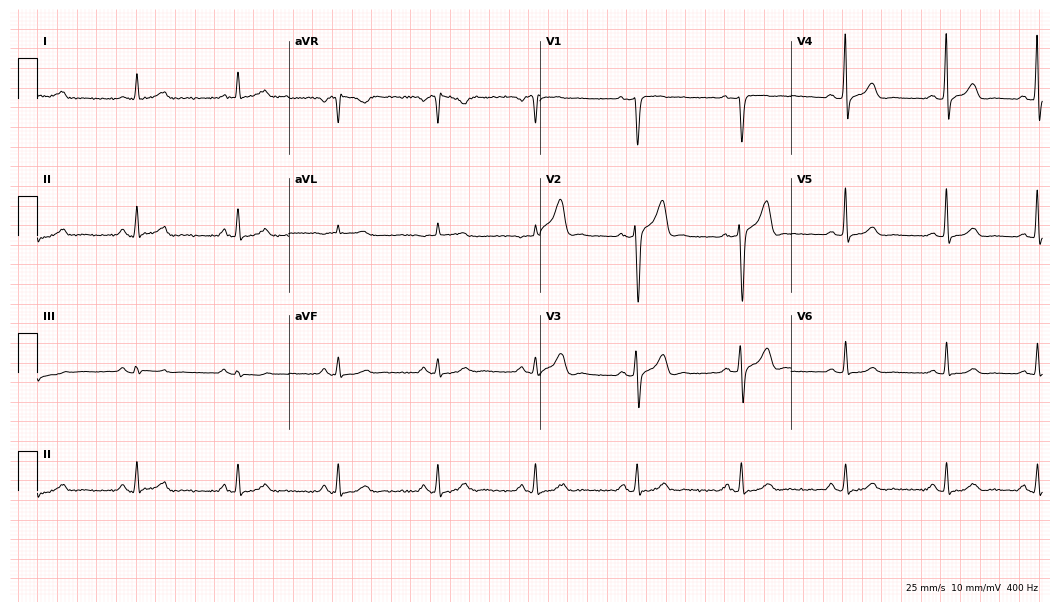
ECG — a 54-year-old male patient. Screened for six findings — first-degree AV block, right bundle branch block (RBBB), left bundle branch block (LBBB), sinus bradycardia, atrial fibrillation (AF), sinus tachycardia — none is recorded.